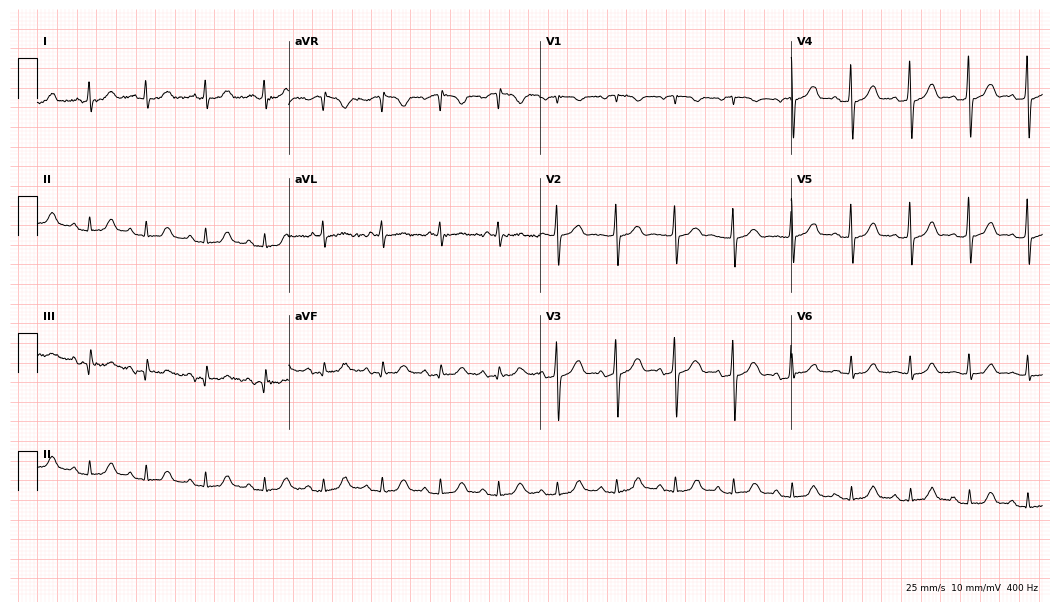
Standard 12-lead ECG recorded from a female, 76 years old. Read as a normal ECG.